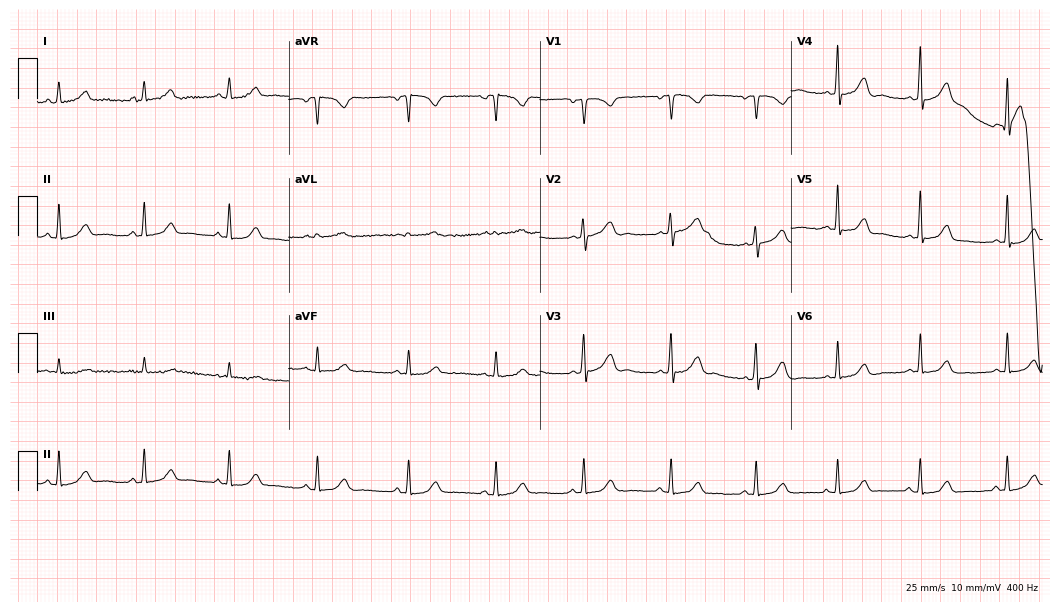
ECG (10.2-second recording at 400 Hz) — a 37-year-old female patient. Labelled as a normal ECG.